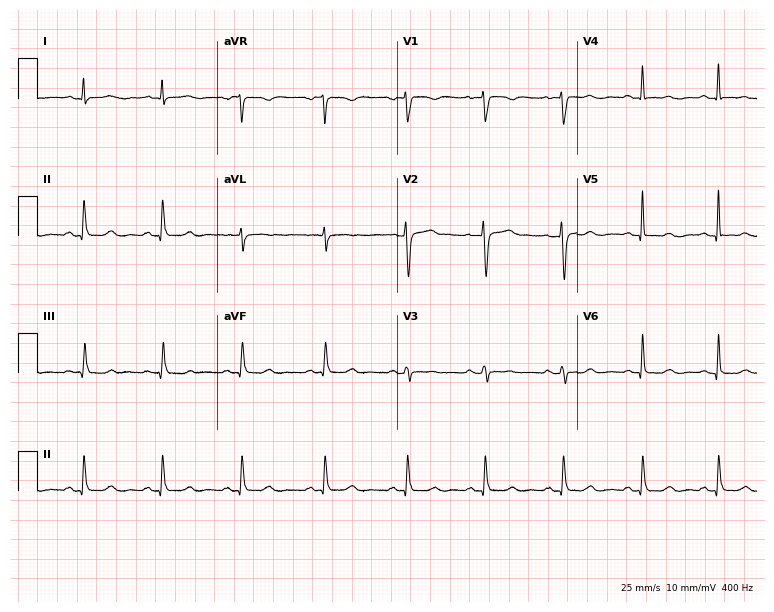
12-lead ECG from a woman, 40 years old. Screened for six findings — first-degree AV block, right bundle branch block (RBBB), left bundle branch block (LBBB), sinus bradycardia, atrial fibrillation (AF), sinus tachycardia — none is recorded. Other findings, if any, are not listed.